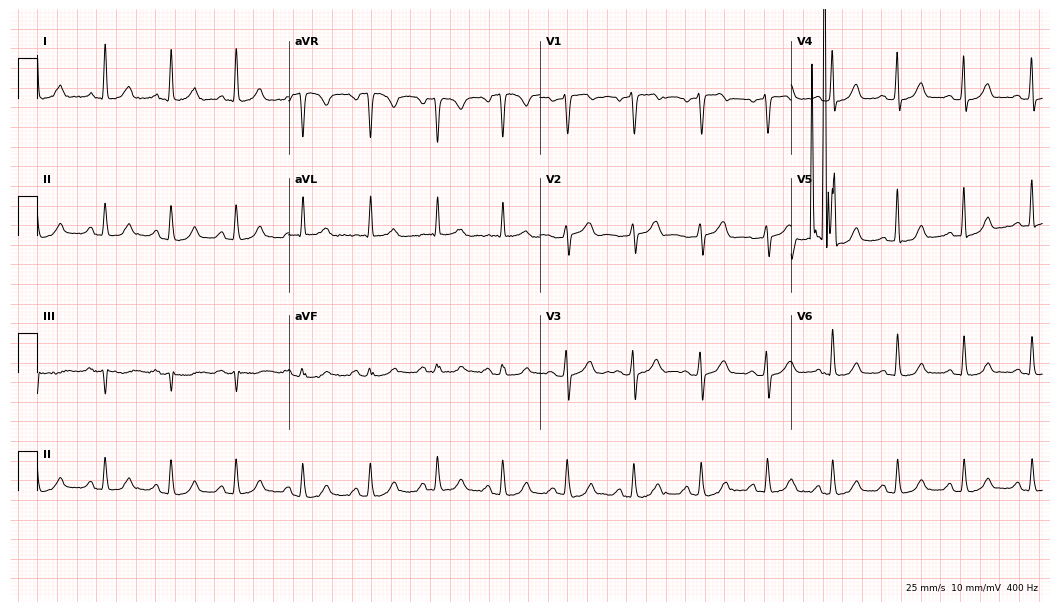
12-lead ECG from a 73-year-old woman. Screened for six findings — first-degree AV block, right bundle branch block, left bundle branch block, sinus bradycardia, atrial fibrillation, sinus tachycardia — none is recorded.